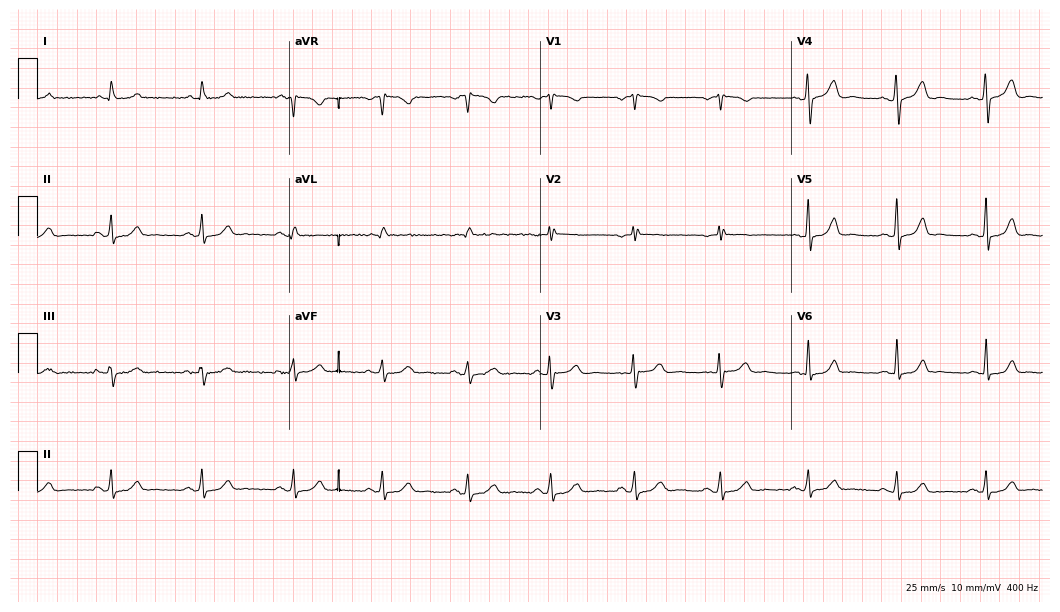
Standard 12-lead ECG recorded from a female patient, 46 years old (10.2-second recording at 400 Hz). Read as a normal ECG.